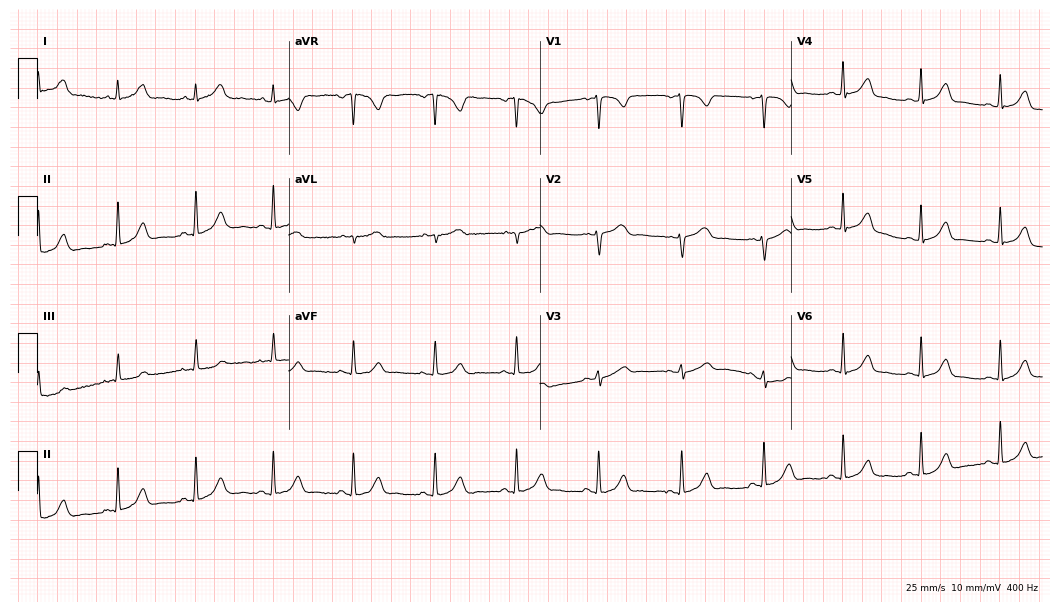
12-lead ECG from a female, 26 years old. Labelled as a normal ECG.